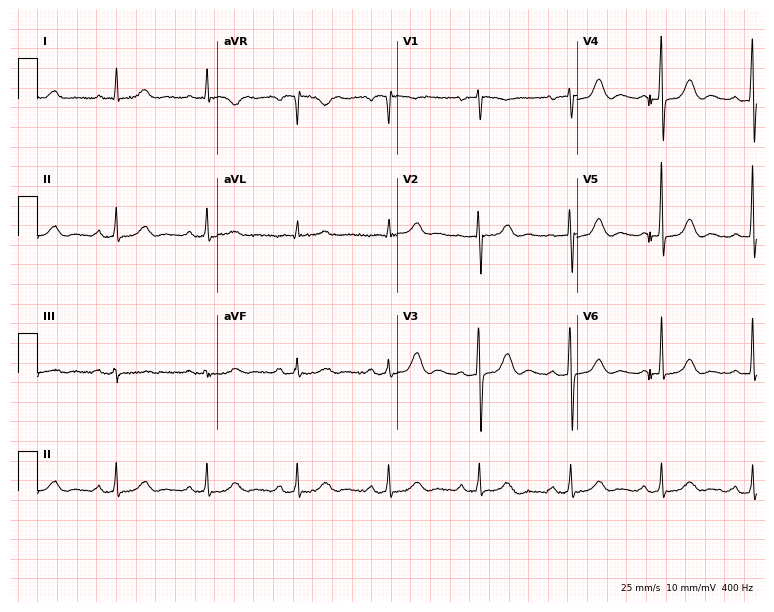
Electrocardiogram (7.3-second recording at 400 Hz), a woman, 81 years old. Interpretation includes first-degree AV block.